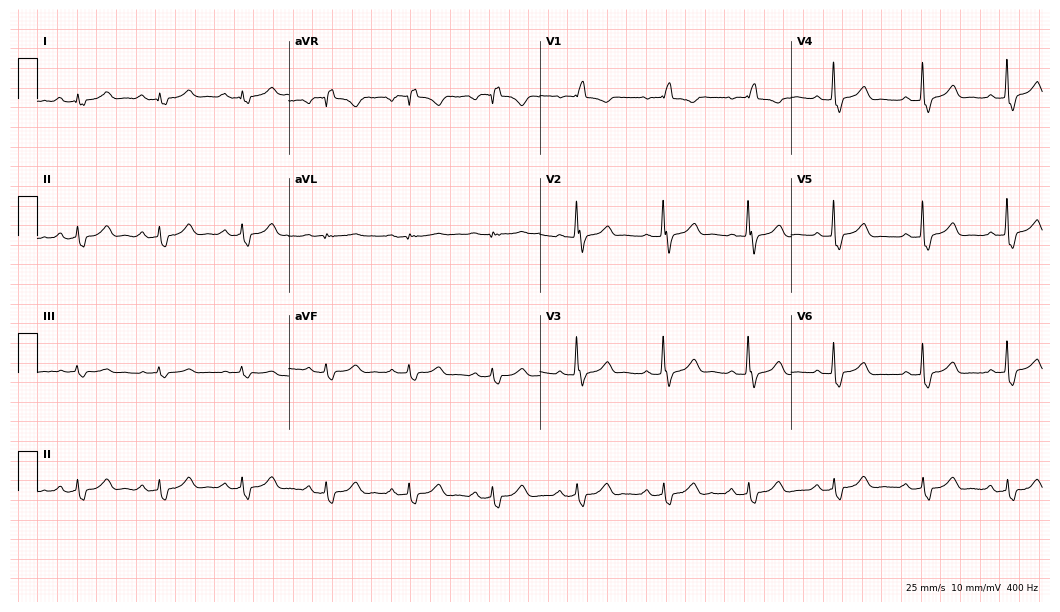
Standard 12-lead ECG recorded from a 79-year-old female patient (10.2-second recording at 400 Hz). The tracing shows right bundle branch block.